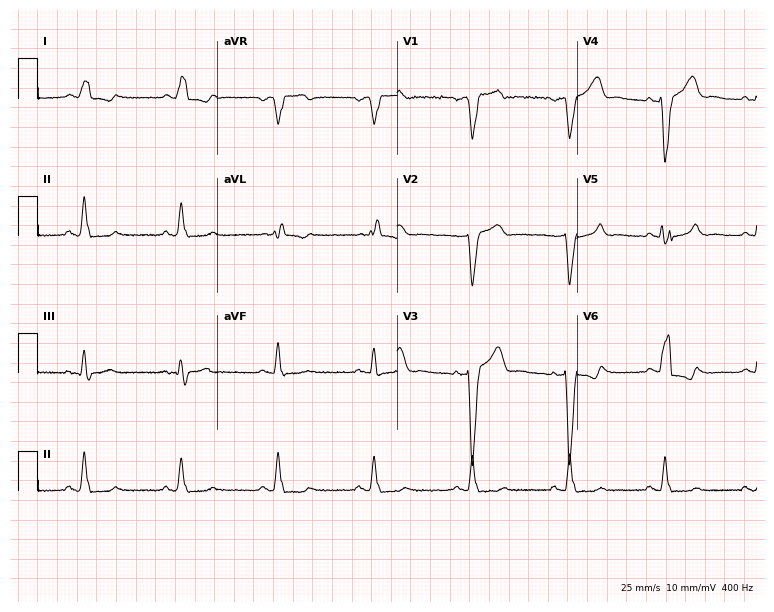
Standard 12-lead ECG recorded from a male, 70 years old (7.3-second recording at 400 Hz). The tracing shows left bundle branch block.